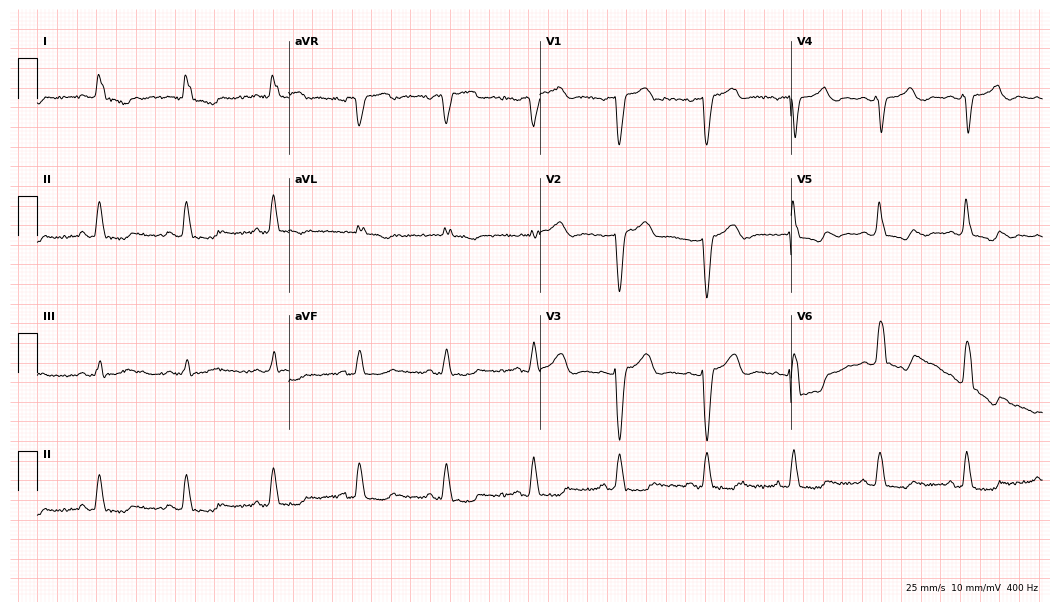
12-lead ECG from a female patient, 78 years old. Findings include left bundle branch block.